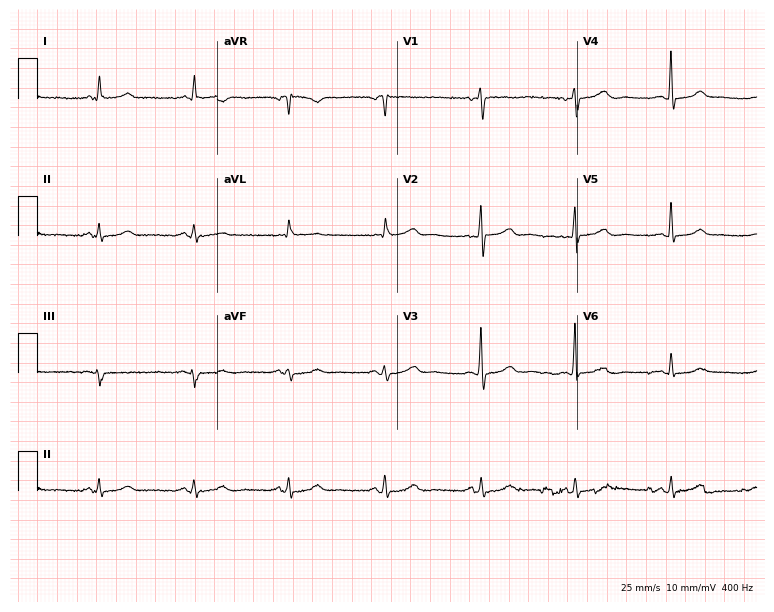
Electrocardiogram, a 66-year-old female. Overall reading on record: normal ECG.